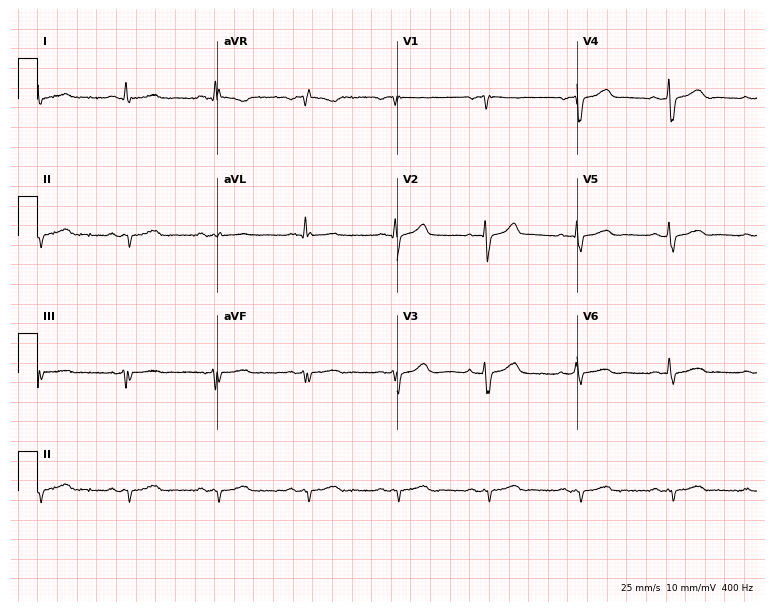
12-lead ECG from a man, 82 years old. Screened for six findings — first-degree AV block, right bundle branch block, left bundle branch block, sinus bradycardia, atrial fibrillation, sinus tachycardia — none is recorded.